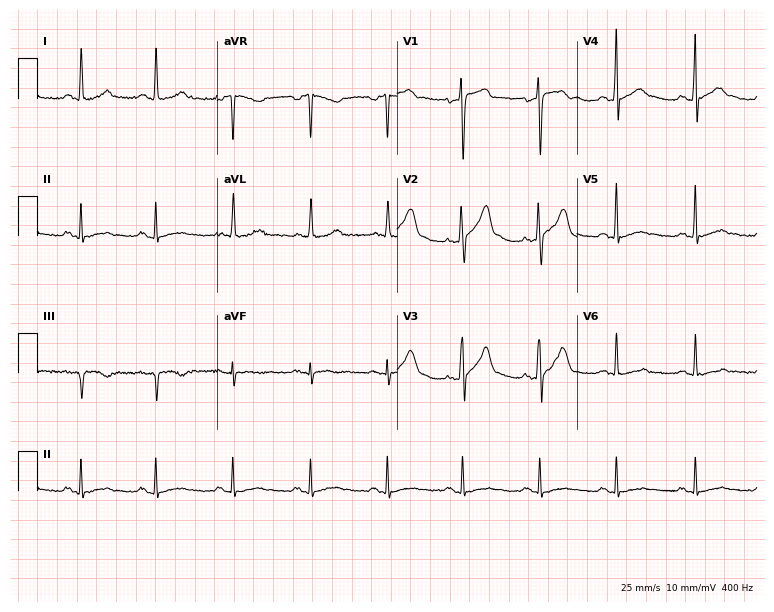
12-lead ECG from a 27-year-old male. No first-degree AV block, right bundle branch block, left bundle branch block, sinus bradycardia, atrial fibrillation or sinus tachycardia recorded for this tracing. Findings outside these six are not listed.